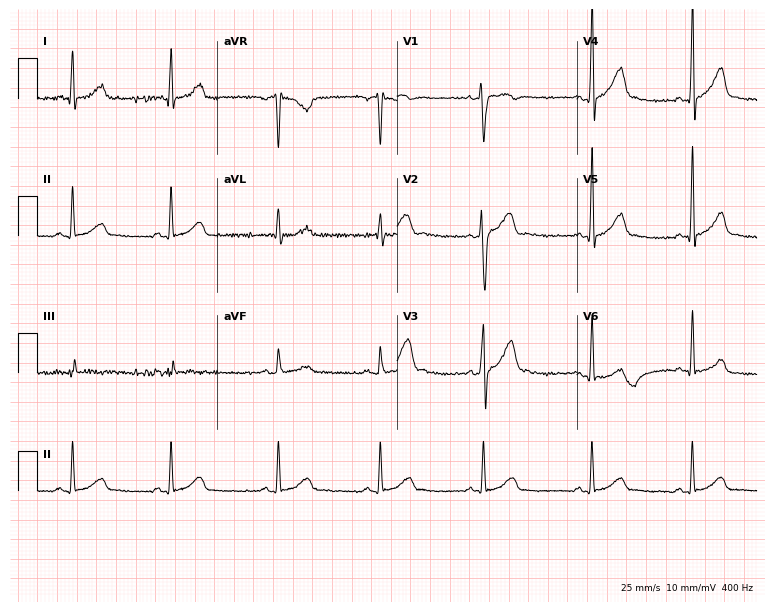
12-lead ECG from a male, 22 years old (7.3-second recording at 400 Hz). Recorded interpretation: within normal limits.